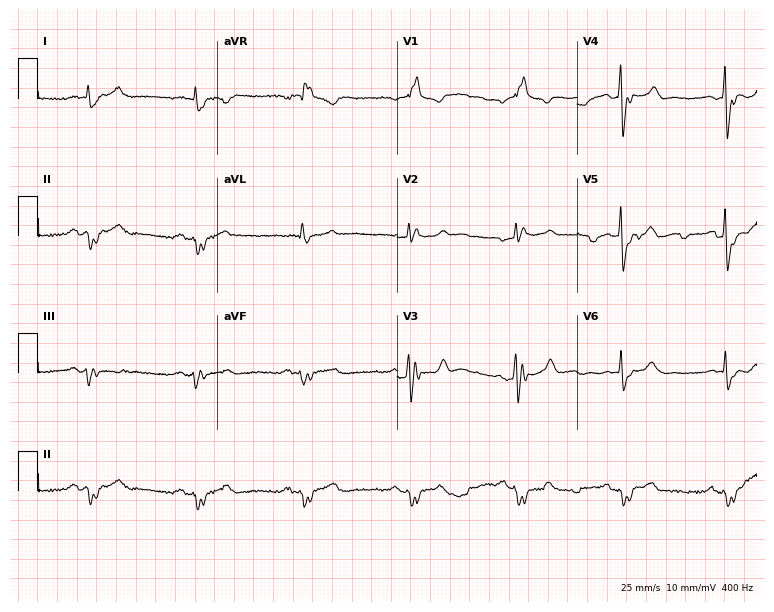
12-lead ECG from a man, 74 years old. Shows right bundle branch block.